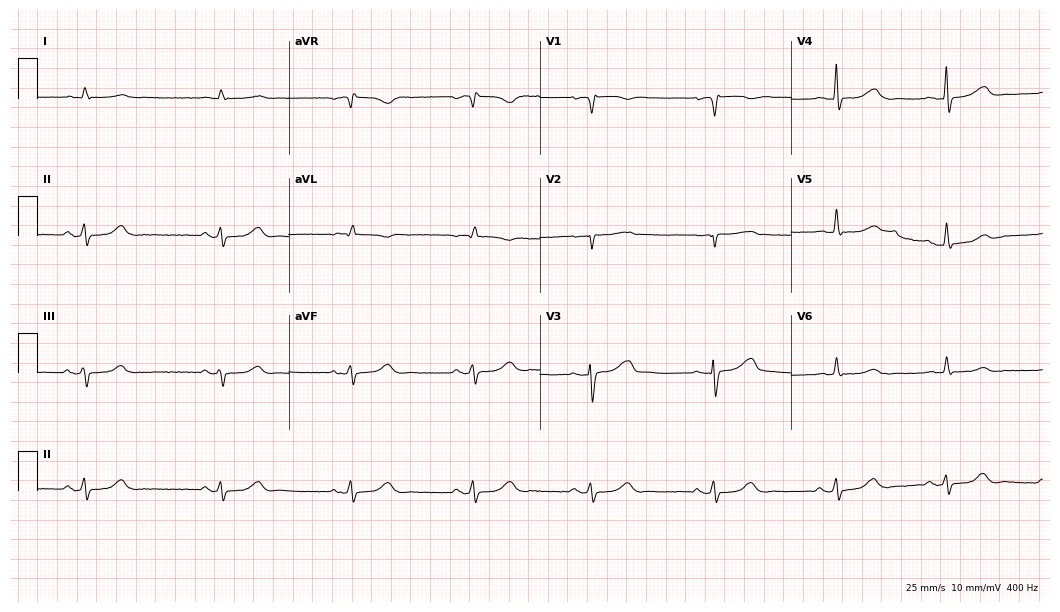
Resting 12-lead electrocardiogram (10.2-second recording at 400 Hz). Patient: an 83-year-old male. The tracing shows sinus bradycardia (a sinus rate of 50 beats per minute or less).